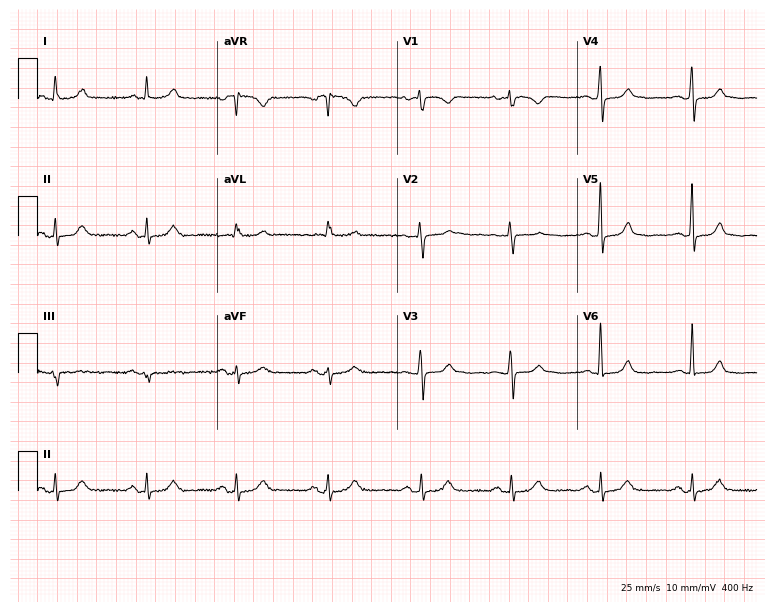
12-lead ECG (7.3-second recording at 400 Hz) from a 76-year-old woman. Screened for six findings — first-degree AV block, right bundle branch block, left bundle branch block, sinus bradycardia, atrial fibrillation, sinus tachycardia — none is recorded. Other findings, if any, are not listed.